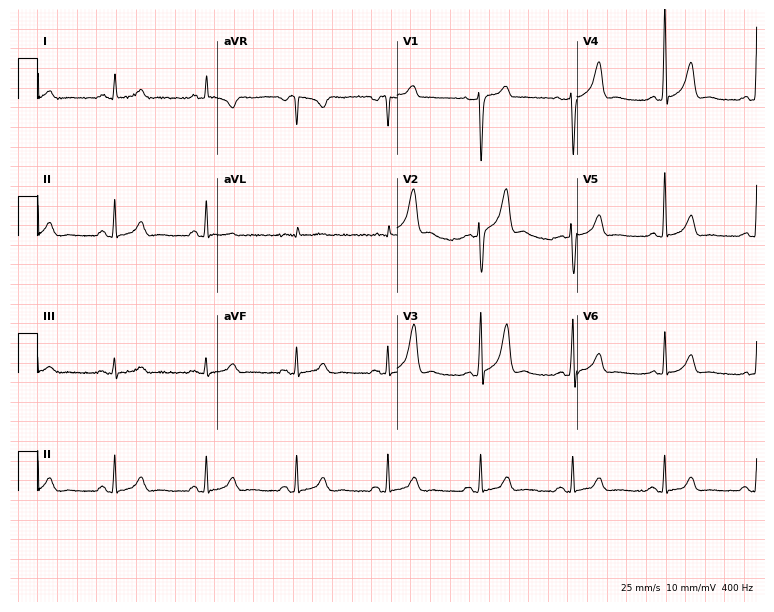
12-lead ECG (7.3-second recording at 400 Hz) from a male, 58 years old. Screened for six findings — first-degree AV block, right bundle branch block, left bundle branch block, sinus bradycardia, atrial fibrillation, sinus tachycardia — none is recorded. Findings outside these six are not listed.